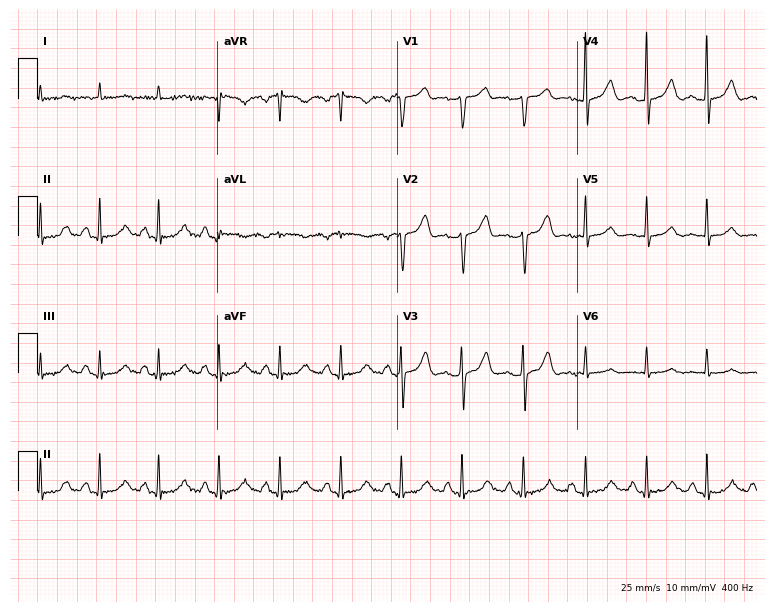
Resting 12-lead electrocardiogram. Patient: a man, 77 years old. None of these six findings is recorded: first-degree AV block, right bundle branch block, left bundle branch block, sinus bradycardia, atrial fibrillation, sinus tachycardia.